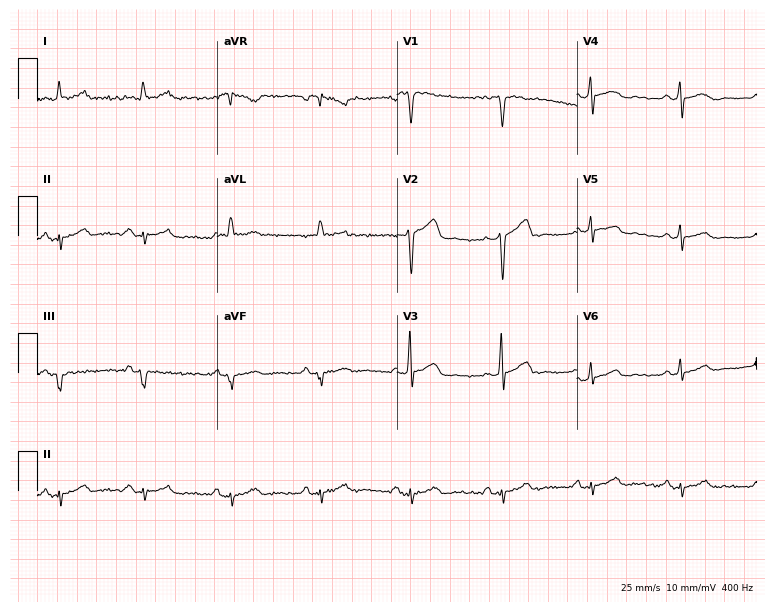
12-lead ECG from a 44-year-old male (7.3-second recording at 400 Hz). No first-degree AV block, right bundle branch block (RBBB), left bundle branch block (LBBB), sinus bradycardia, atrial fibrillation (AF) or sinus tachycardia recorded for this tracing.